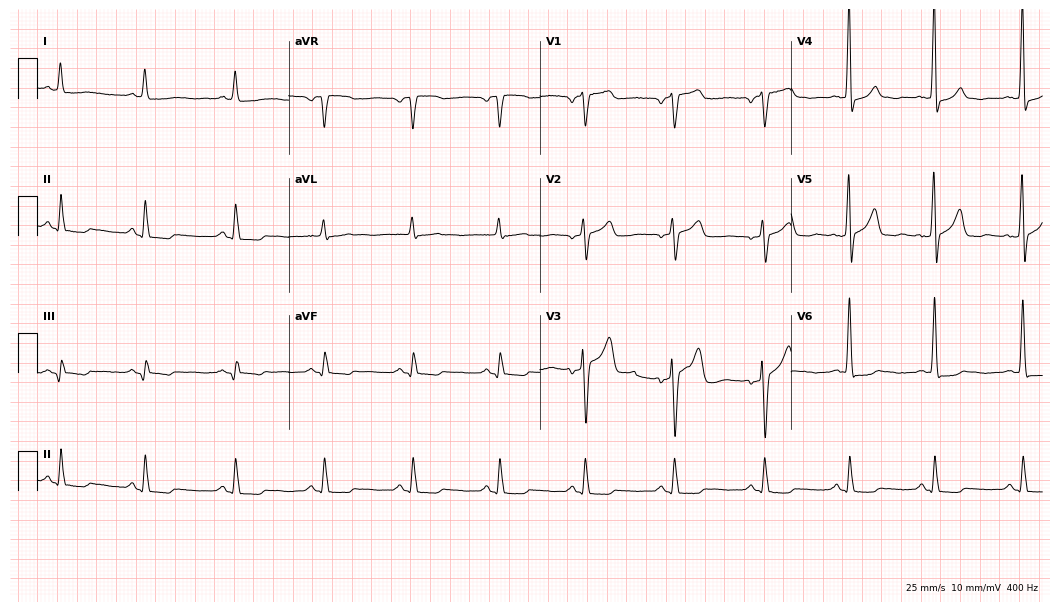
12-lead ECG from a man, 90 years old or older (10.2-second recording at 400 Hz). No first-degree AV block, right bundle branch block (RBBB), left bundle branch block (LBBB), sinus bradycardia, atrial fibrillation (AF) or sinus tachycardia recorded for this tracing. Findings outside these six are not listed.